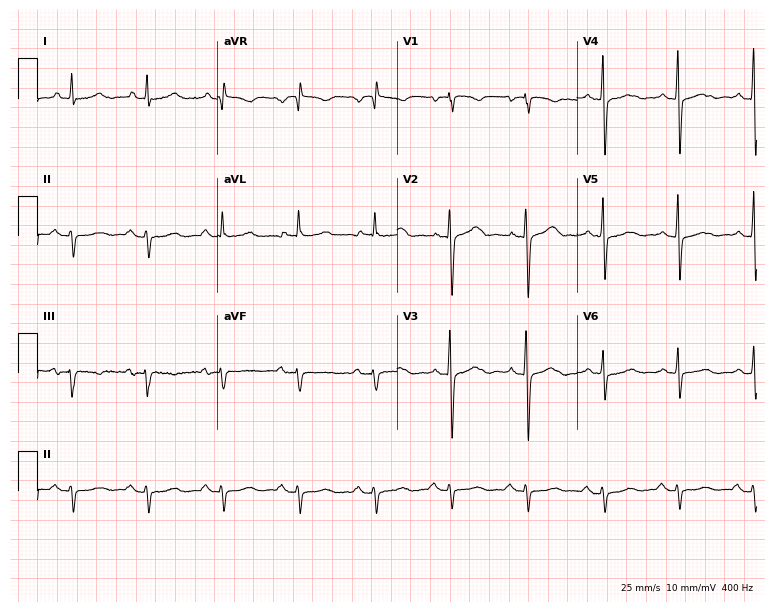
Electrocardiogram (7.3-second recording at 400 Hz), a female, 69 years old. Of the six screened findings (first-degree AV block, right bundle branch block (RBBB), left bundle branch block (LBBB), sinus bradycardia, atrial fibrillation (AF), sinus tachycardia), none is recorded.